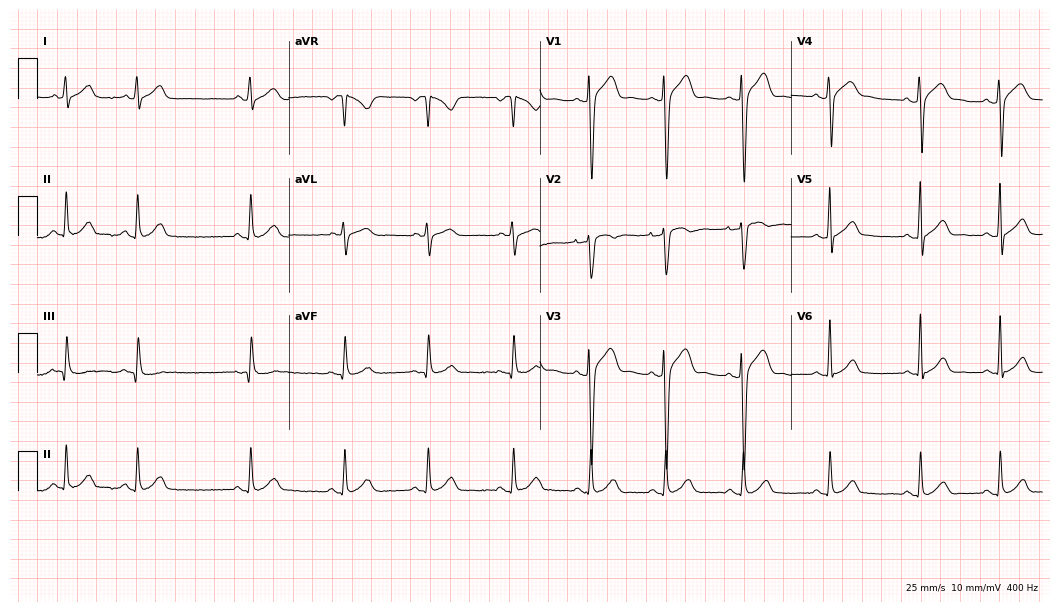
12-lead ECG from a male patient, 20 years old. No first-degree AV block, right bundle branch block, left bundle branch block, sinus bradycardia, atrial fibrillation or sinus tachycardia recorded for this tracing. Only these six findings were labelled.